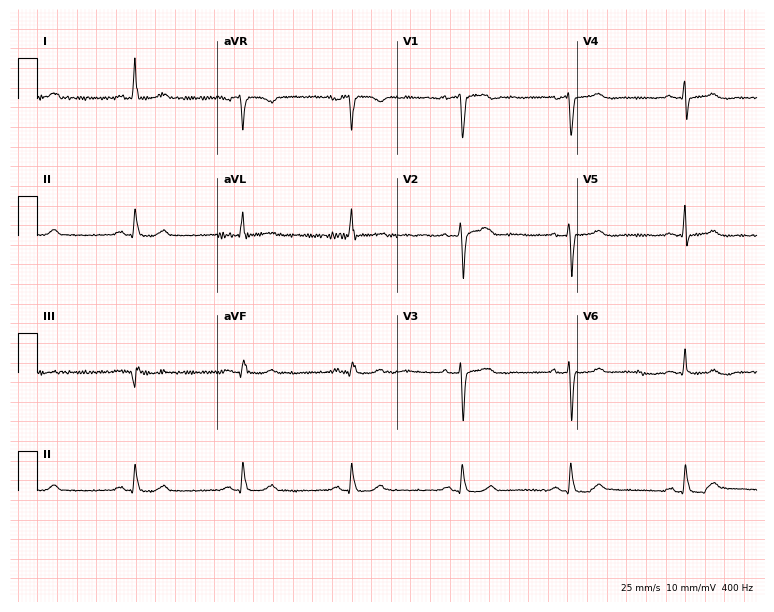
Electrocardiogram (7.3-second recording at 400 Hz), a woman, 43 years old. Overall reading on record: normal ECG.